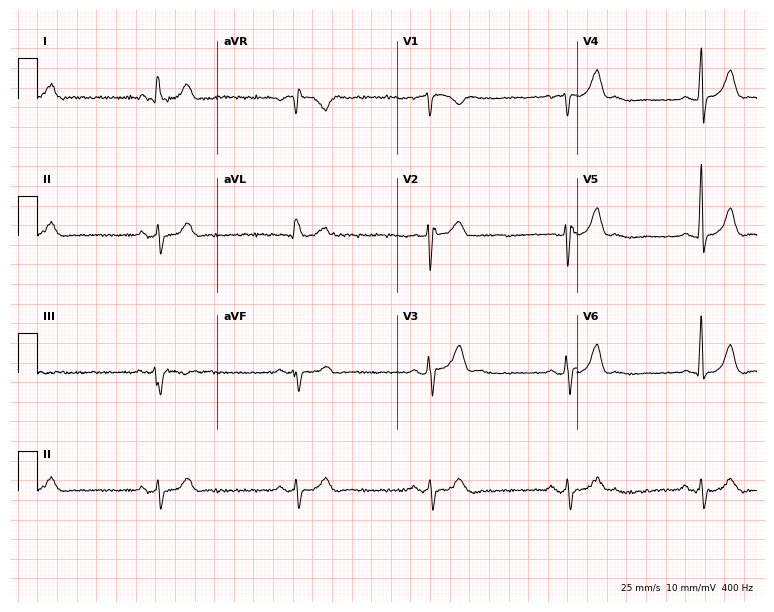
ECG (7.3-second recording at 400 Hz) — a 56-year-old man. Findings include sinus bradycardia (a sinus rate of 50 beats per minute or less).